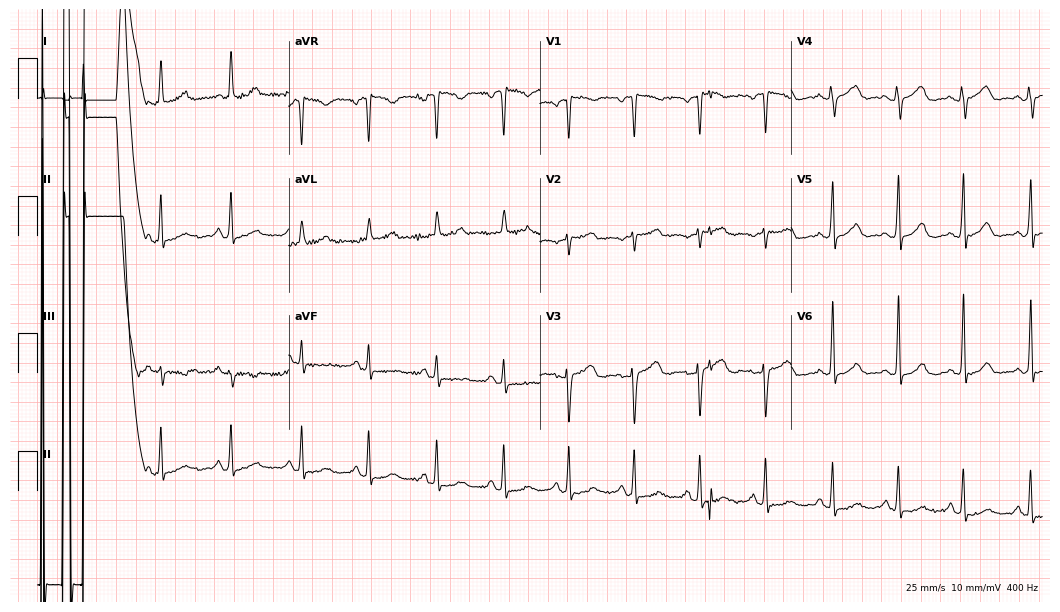
ECG (10.2-second recording at 400 Hz) — a 46-year-old female patient. Screened for six findings — first-degree AV block, right bundle branch block (RBBB), left bundle branch block (LBBB), sinus bradycardia, atrial fibrillation (AF), sinus tachycardia — none is recorded. Only these six findings were labelled.